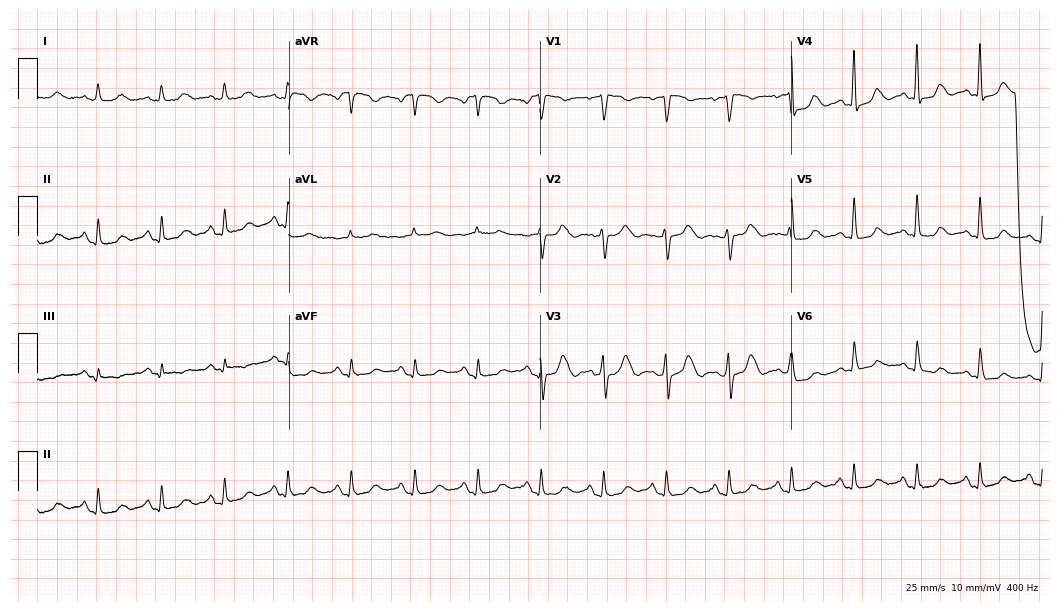
12-lead ECG from an 84-year-old woman (10.2-second recording at 400 Hz). No first-degree AV block, right bundle branch block, left bundle branch block, sinus bradycardia, atrial fibrillation or sinus tachycardia recorded for this tracing. Findings outside these six are not listed.